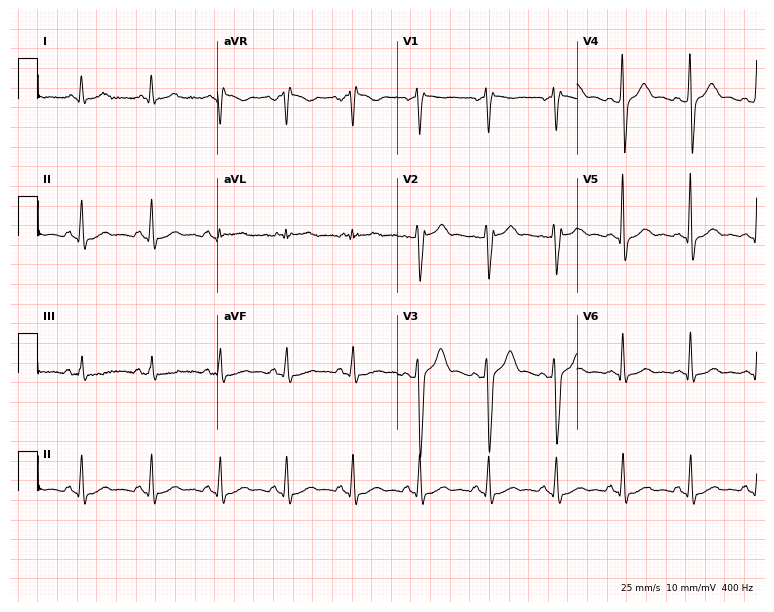
12-lead ECG from a male patient, 41 years old (7.3-second recording at 400 Hz). No first-degree AV block, right bundle branch block, left bundle branch block, sinus bradycardia, atrial fibrillation or sinus tachycardia recorded for this tracing. Only these six findings were labelled.